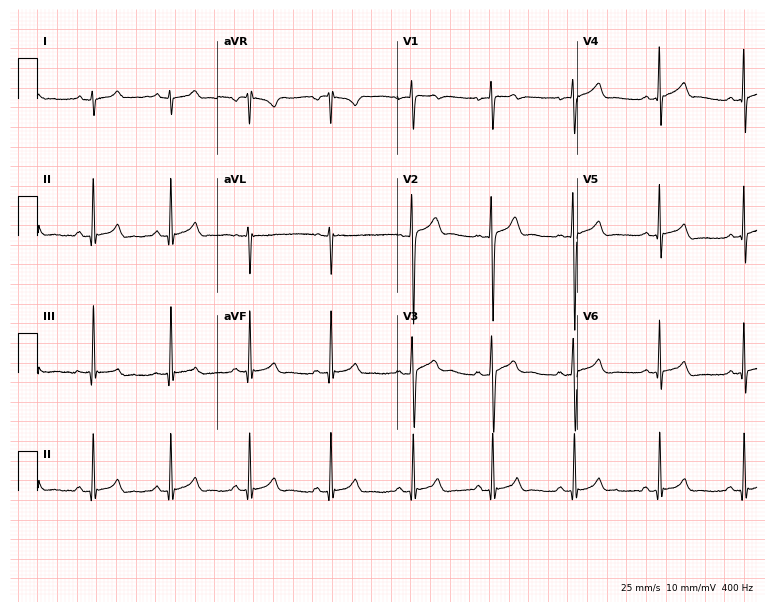
Resting 12-lead electrocardiogram. Patient: a man, 22 years old. None of these six findings is recorded: first-degree AV block, right bundle branch block, left bundle branch block, sinus bradycardia, atrial fibrillation, sinus tachycardia. Findings outside these six are not listed.